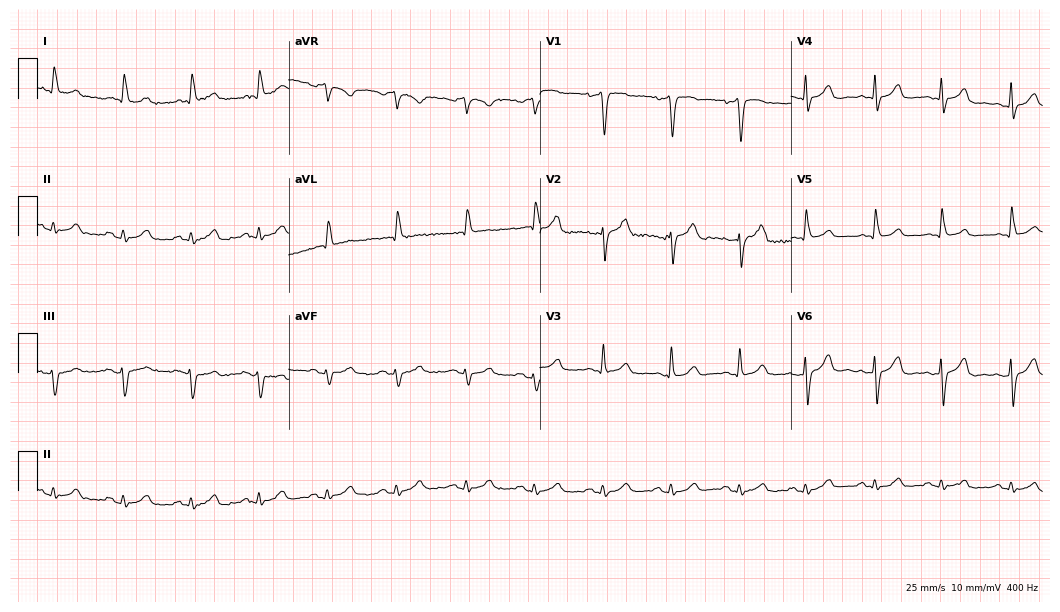
ECG (10.2-second recording at 400 Hz) — a 68-year-old male patient. Screened for six findings — first-degree AV block, right bundle branch block, left bundle branch block, sinus bradycardia, atrial fibrillation, sinus tachycardia — none is recorded.